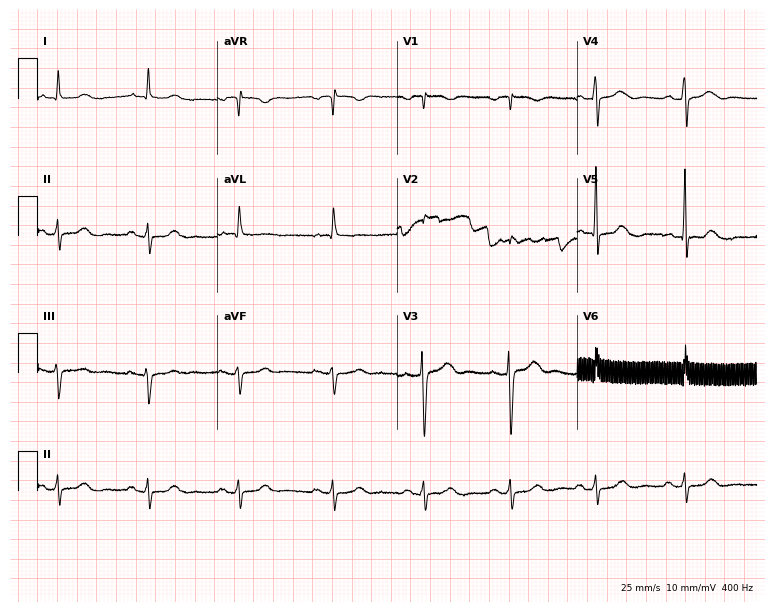
Resting 12-lead electrocardiogram (7.3-second recording at 400 Hz). Patient: a female, 83 years old. None of these six findings is recorded: first-degree AV block, right bundle branch block, left bundle branch block, sinus bradycardia, atrial fibrillation, sinus tachycardia.